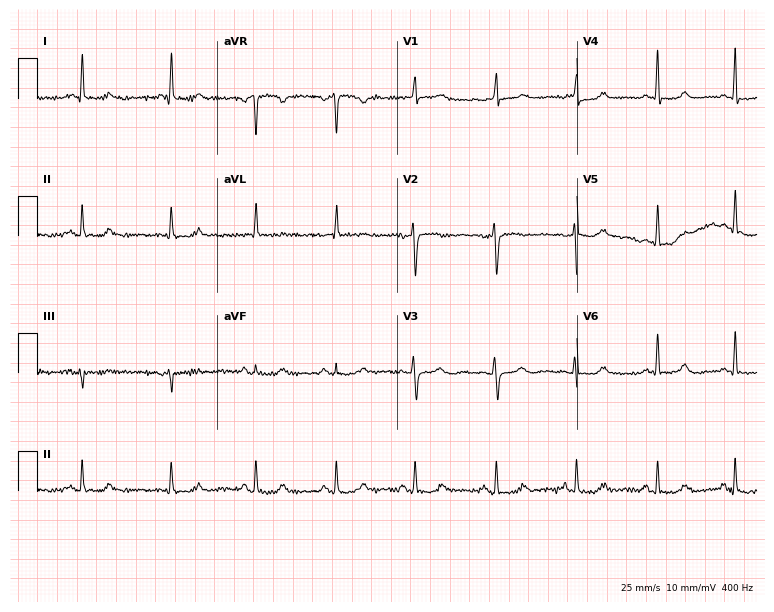
Standard 12-lead ECG recorded from a female, 79 years old (7.3-second recording at 400 Hz). Read as a normal ECG.